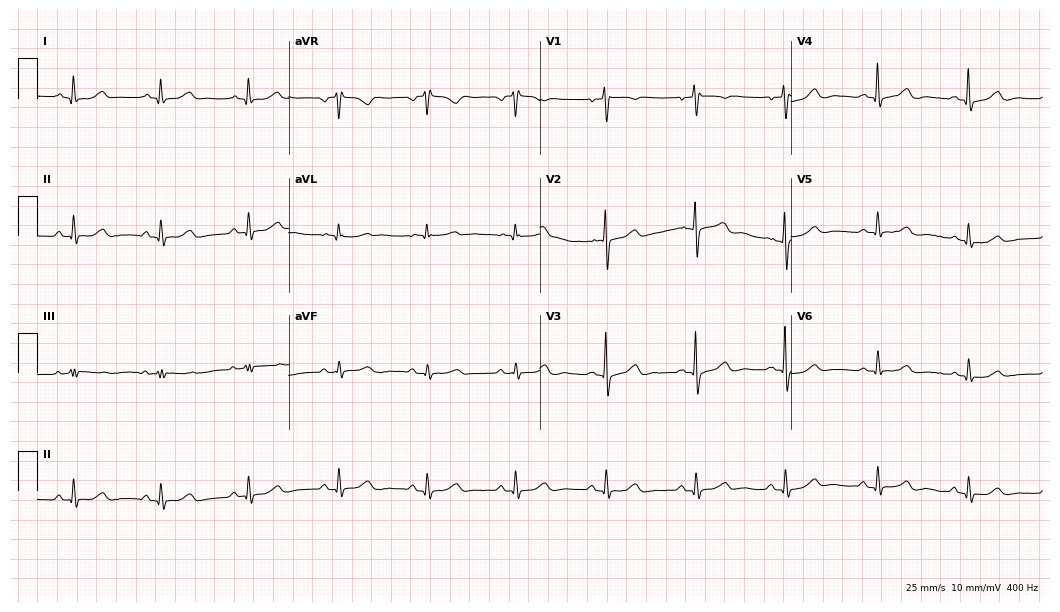
Electrocardiogram, a man, 45 years old. Overall reading on record: normal ECG.